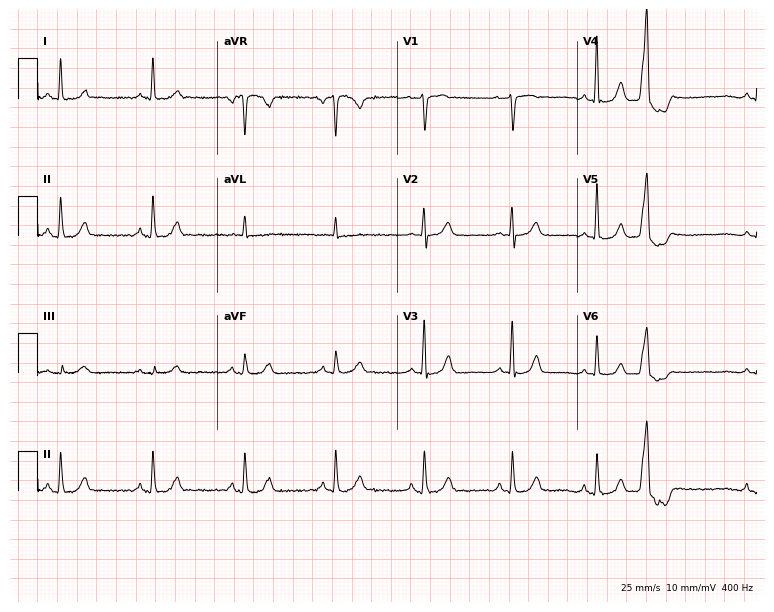
12-lead ECG from a male, 54 years old. Labelled as a normal ECG.